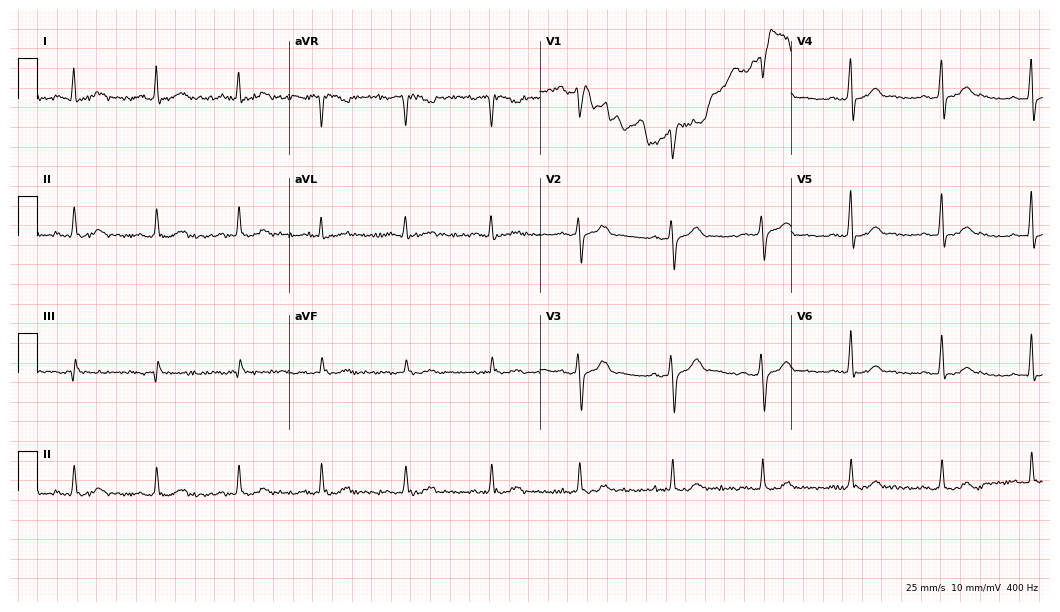
Resting 12-lead electrocardiogram. Patient: a 34-year-old man. None of these six findings is recorded: first-degree AV block, right bundle branch block, left bundle branch block, sinus bradycardia, atrial fibrillation, sinus tachycardia.